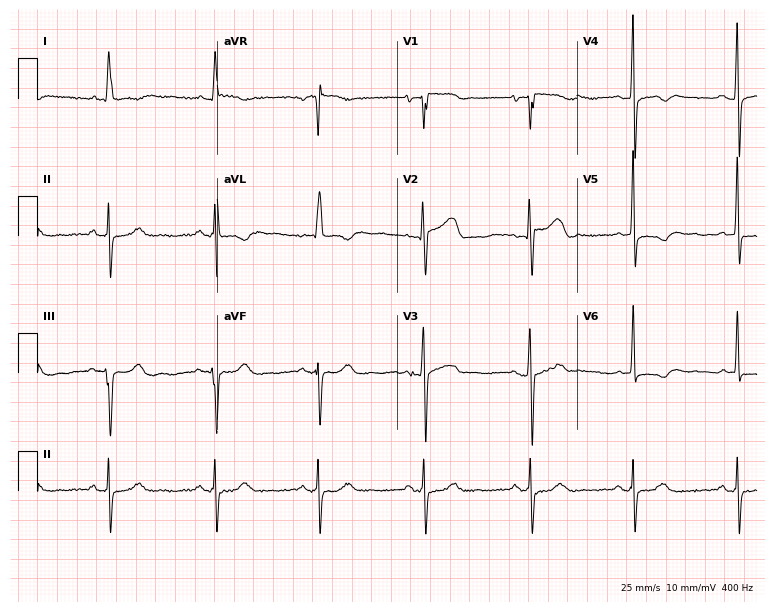
Electrocardiogram, a male, 62 years old. Of the six screened findings (first-degree AV block, right bundle branch block, left bundle branch block, sinus bradycardia, atrial fibrillation, sinus tachycardia), none is recorded.